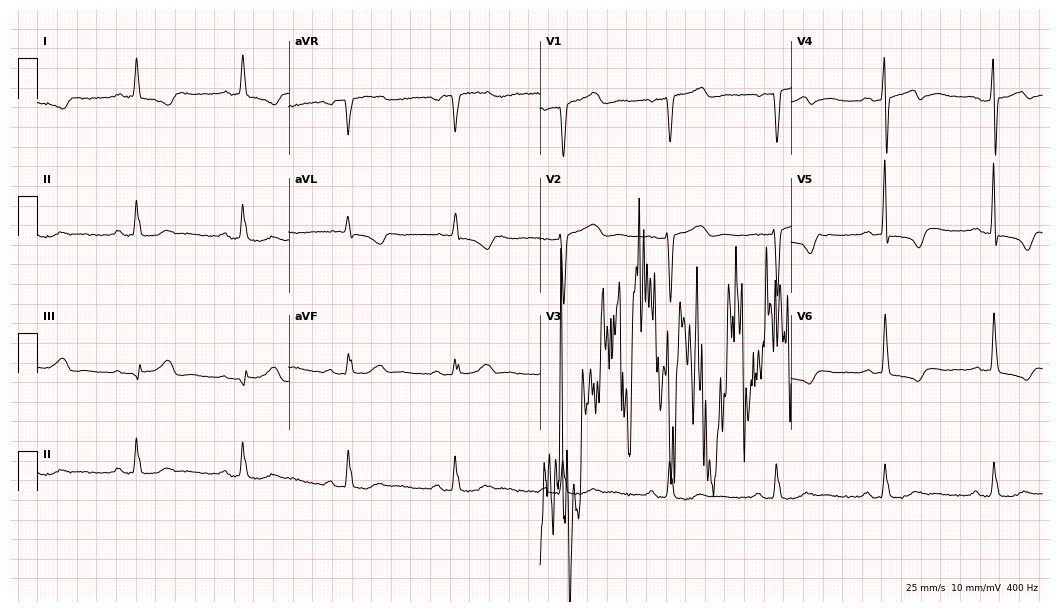
ECG (10.2-second recording at 400 Hz) — a female patient, 75 years old. Screened for six findings — first-degree AV block, right bundle branch block, left bundle branch block, sinus bradycardia, atrial fibrillation, sinus tachycardia — none is recorded. Only these six findings were labelled.